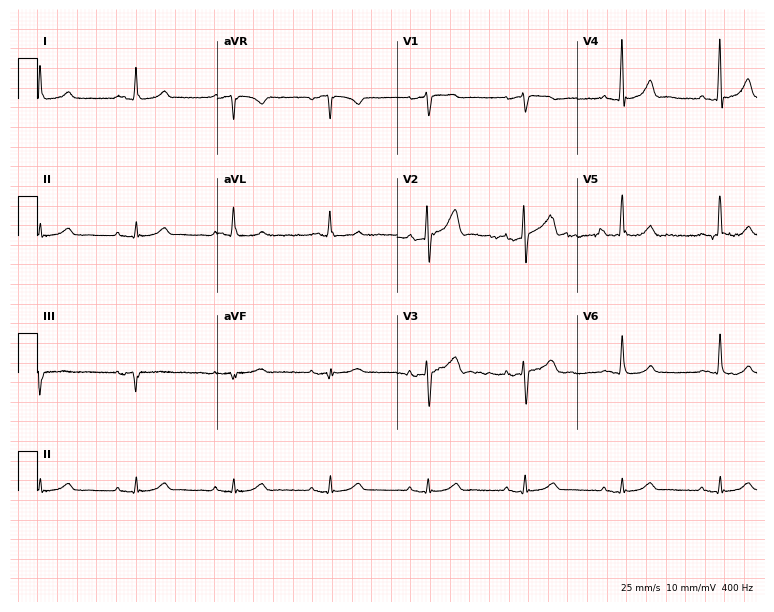
ECG — a man, 64 years old. Screened for six findings — first-degree AV block, right bundle branch block (RBBB), left bundle branch block (LBBB), sinus bradycardia, atrial fibrillation (AF), sinus tachycardia — none is recorded. Only these six findings were labelled.